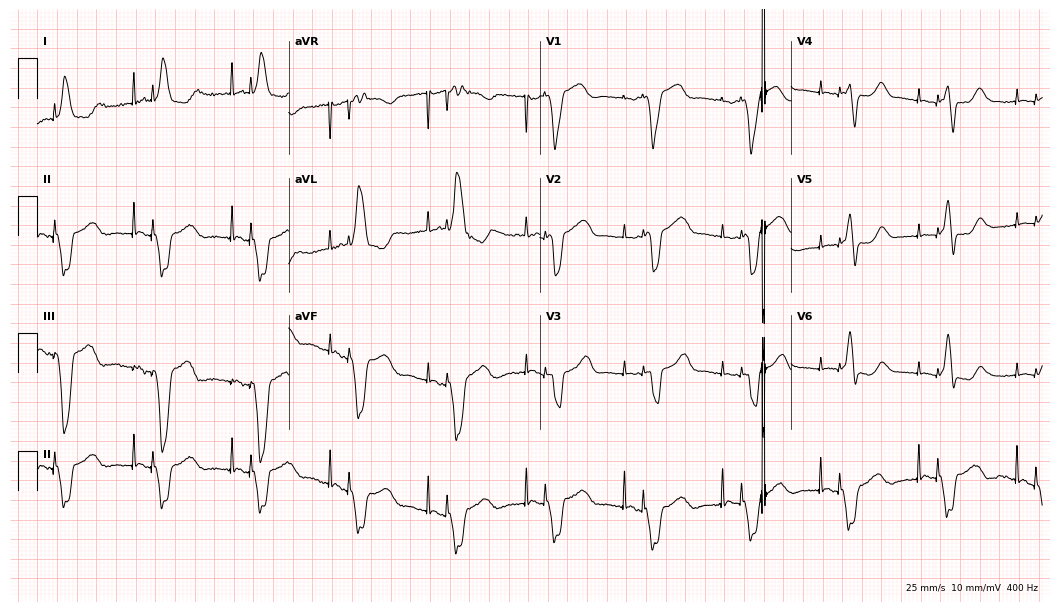
12-lead ECG from an 80-year-old female patient. No first-degree AV block, right bundle branch block, left bundle branch block, sinus bradycardia, atrial fibrillation or sinus tachycardia recorded for this tracing.